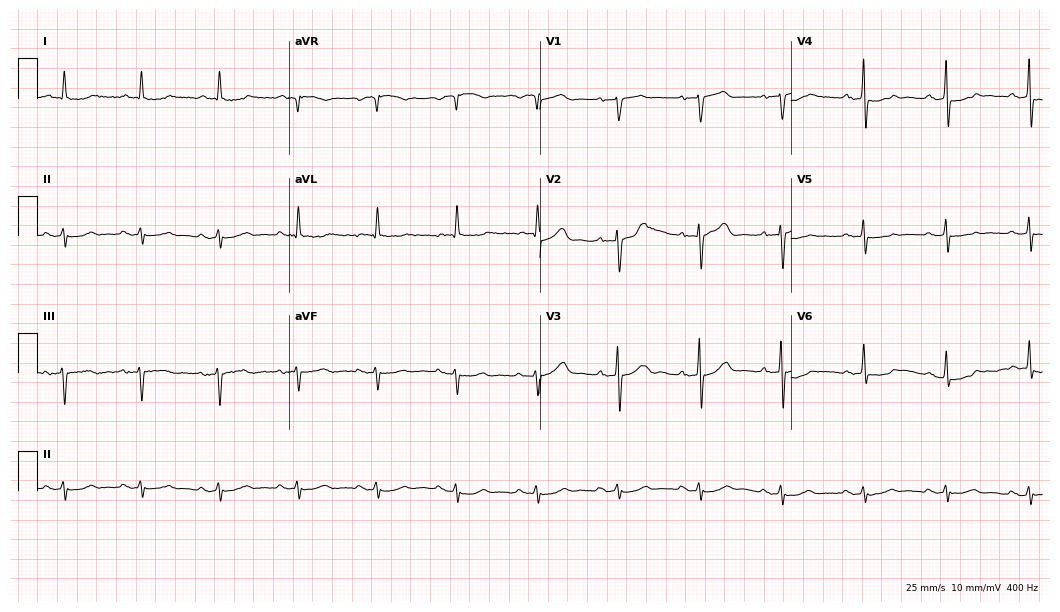
12-lead ECG (10.2-second recording at 400 Hz) from a 75-year-old male. Labelled as a normal ECG.